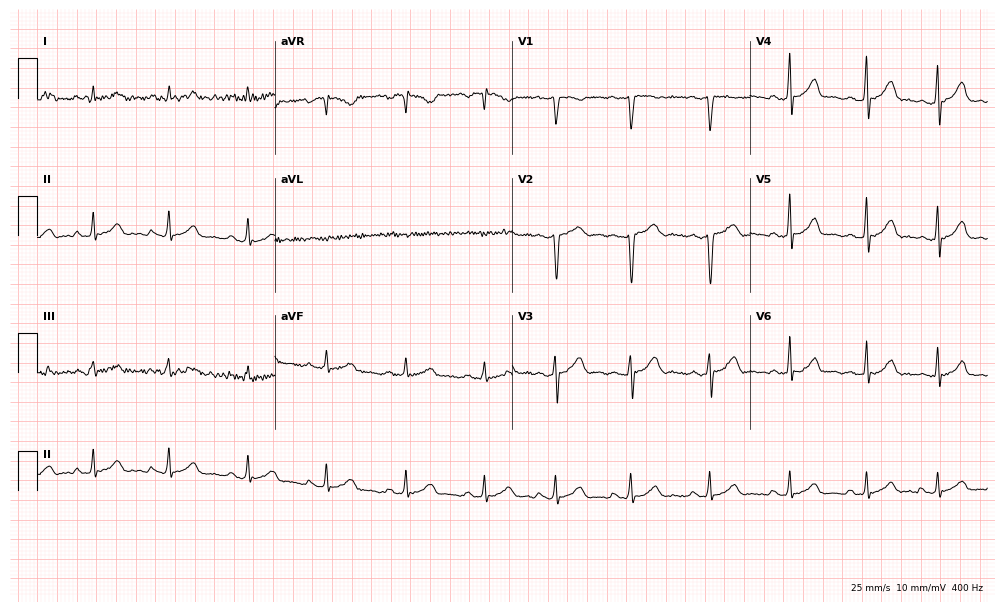
12-lead ECG from a 20-year-old female (9.7-second recording at 400 Hz). Recorded interpretation: within normal limits.